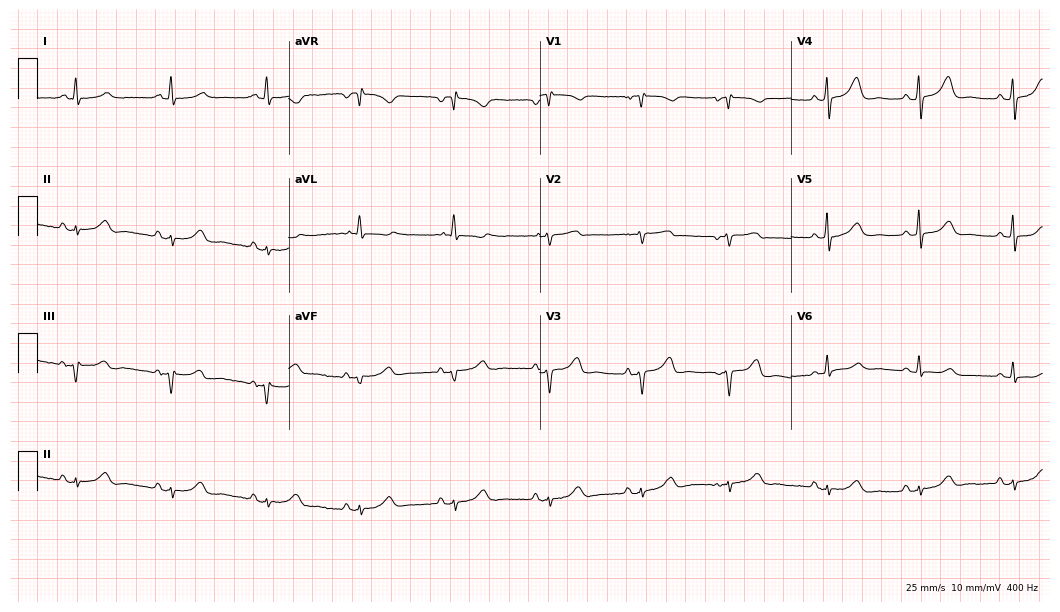
Standard 12-lead ECG recorded from a female, 78 years old. Read as a normal ECG.